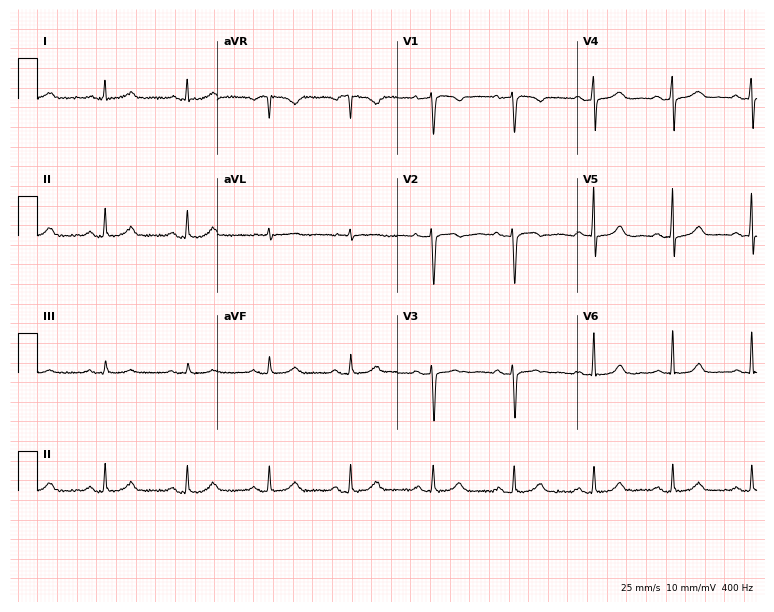
Standard 12-lead ECG recorded from a 57-year-old female patient (7.3-second recording at 400 Hz). None of these six findings is recorded: first-degree AV block, right bundle branch block, left bundle branch block, sinus bradycardia, atrial fibrillation, sinus tachycardia.